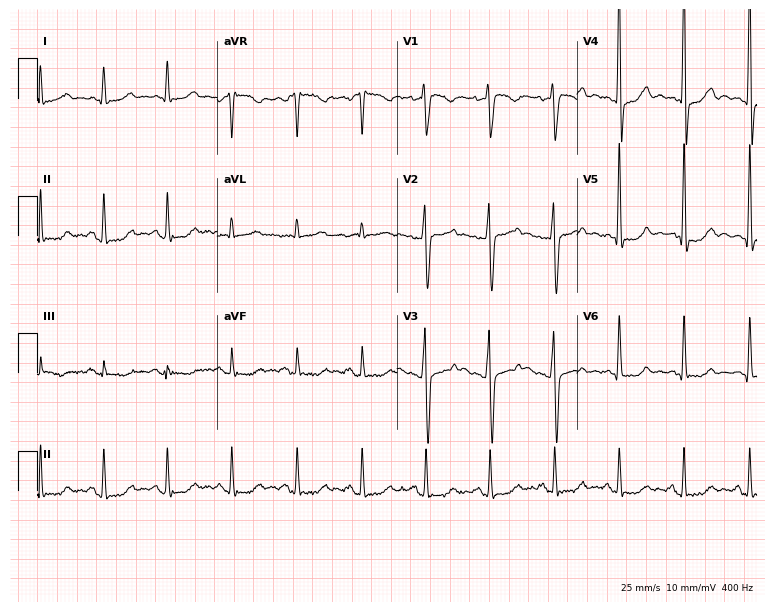
Electrocardiogram, a male patient, 52 years old. Of the six screened findings (first-degree AV block, right bundle branch block, left bundle branch block, sinus bradycardia, atrial fibrillation, sinus tachycardia), none is recorded.